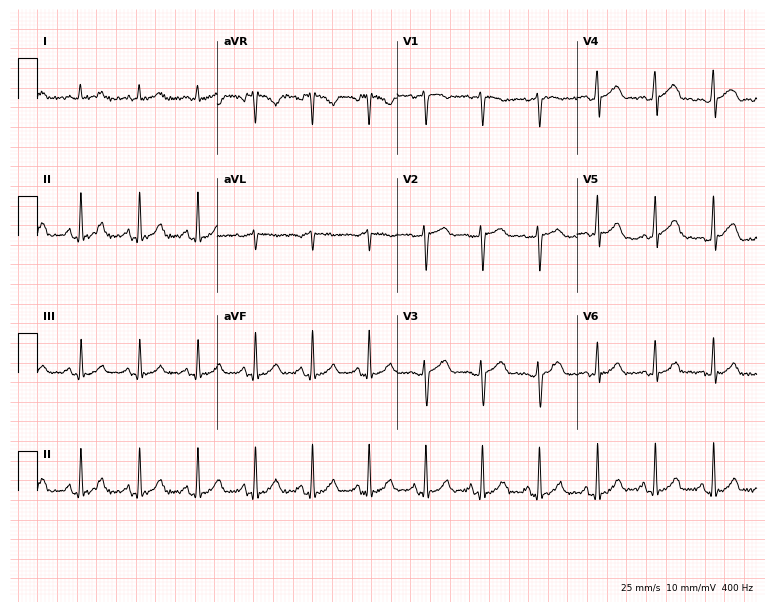
12-lead ECG from a male, 27 years old. Shows sinus tachycardia (a sinus rate of 100 beats per minute or more).